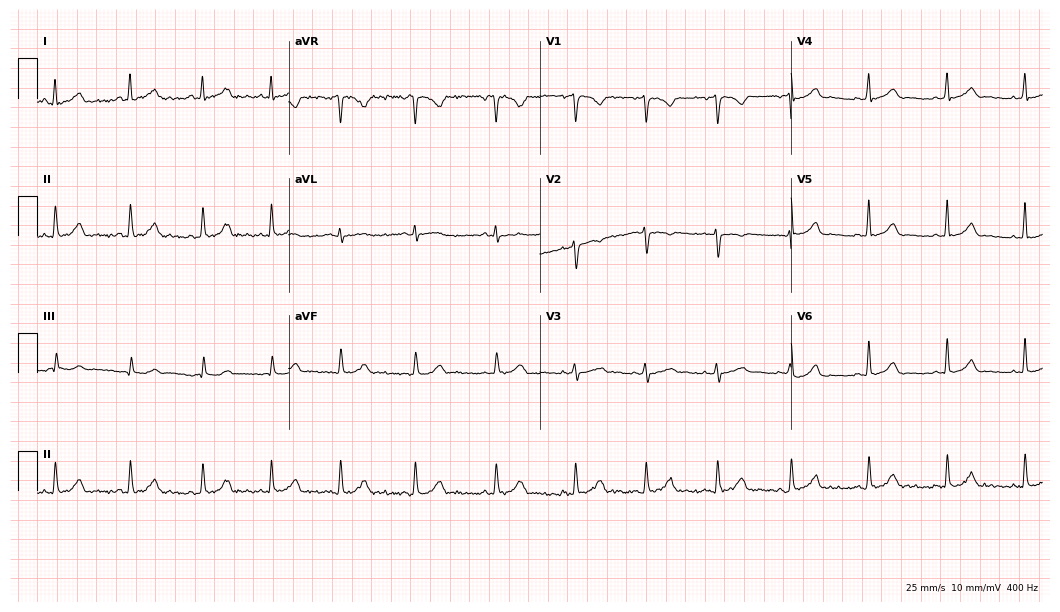
12-lead ECG from a 34-year-old female. Recorded interpretation: within normal limits.